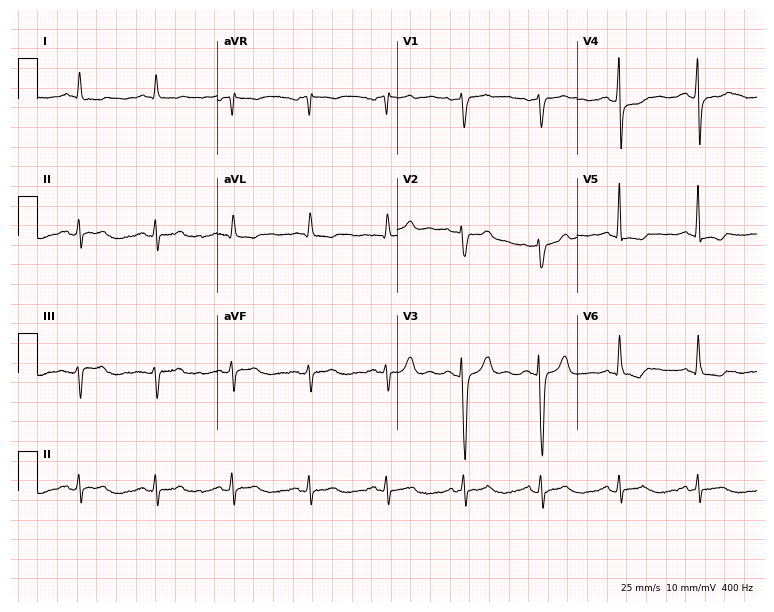
Resting 12-lead electrocardiogram (7.3-second recording at 400 Hz). Patient: an 85-year-old male. None of these six findings is recorded: first-degree AV block, right bundle branch block, left bundle branch block, sinus bradycardia, atrial fibrillation, sinus tachycardia.